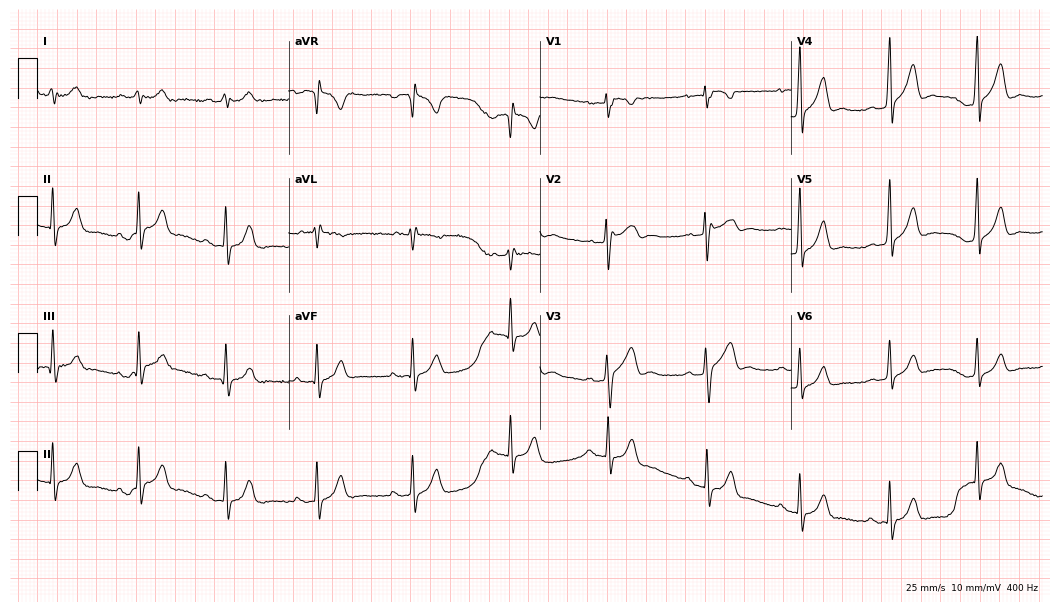
Electrocardiogram (10.2-second recording at 400 Hz), a male, 24 years old. Overall reading on record: normal ECG.